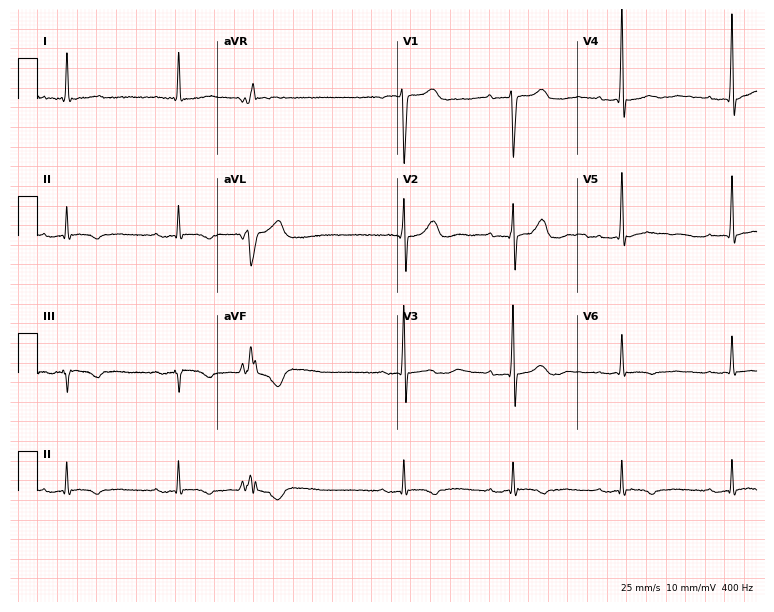
12-lead ECG (7.3-second recording at 400 Hz) from an 84-year-old male. Screened for six findings — first-degree AV block, right bundle branch block, left bundle branch block, sinus bradycardia, atrial fibrillation, sinus tachycardia — none is recorded. Other findings, if any, are not listed.